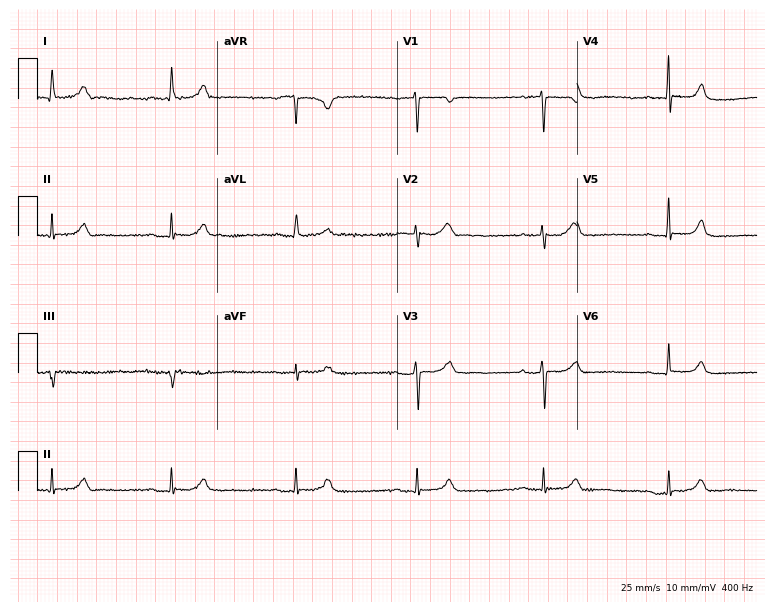
Electrocardiogram, a woman, 58 years old. Interpretation includes first-degree AV block, sinus bradycardia (a sinus rate of 50 beats per minute or less).